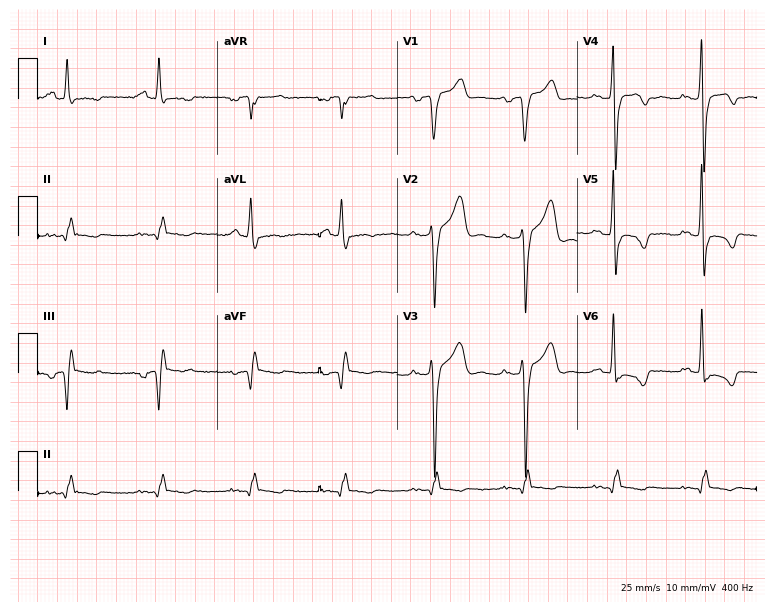
Resting 12-lead electrocardiogram. Patient: a man, 52 years old. The tracing shows left bundle branch block.